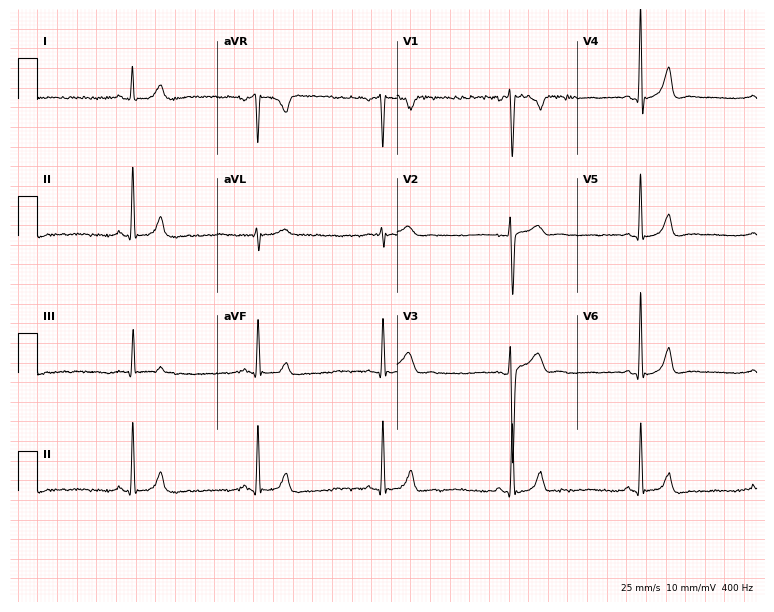
12-lead ECG from a male, 24 years old. Recorded interpretation: within normal limits.